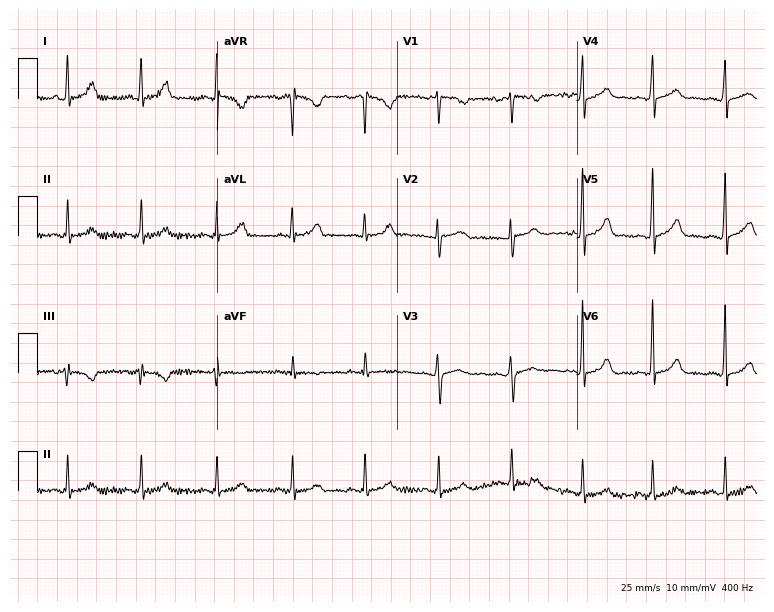
Electrocardiogram, a woman, 36 years old. Of the six screened findings (first-degree AV block, right bundle branch block, left bundle branch block, sinus bradycardia, atrial fibrillation, sinus tachycardia), none is recorded. Other findings, if any, are not listed.